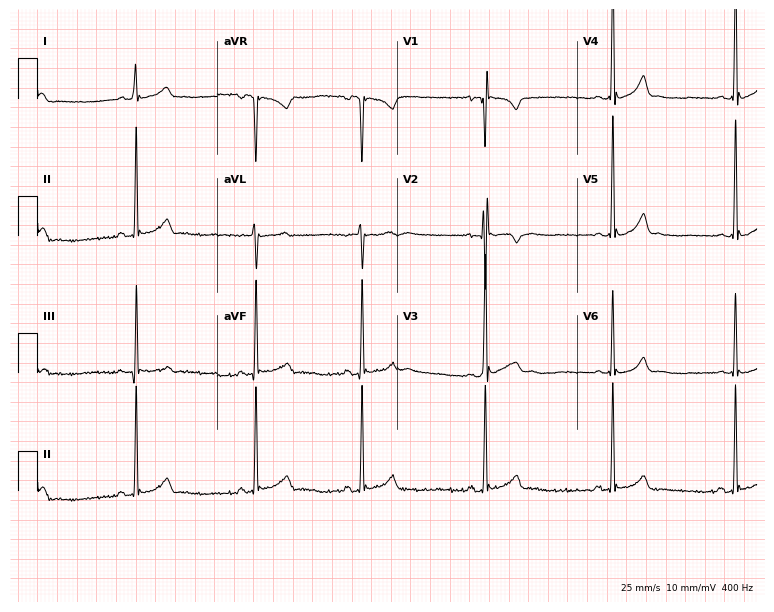
12-lead ECG from a 17-year-old man (7.3-second recording at 400 Hz). Shows sinus bradycardia (a sinus rate of 50 beats per minute or less).